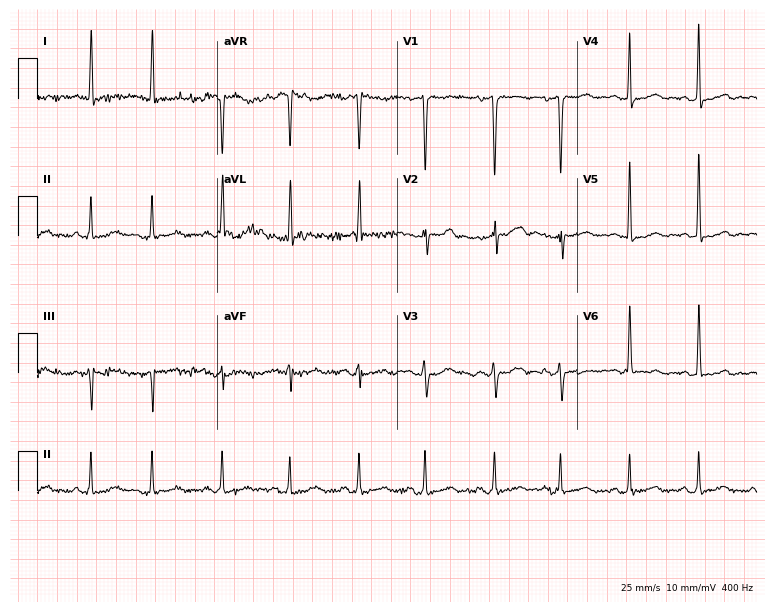
12-lead ECG from a female, 75 years old. Screened for six findings — first-degree AV block, right bundle branch block, left bundle branch block, sinus bradycardia, atrial fibrillation, sinus tachycardia — none is recorded. Findings outside these six are not listed.